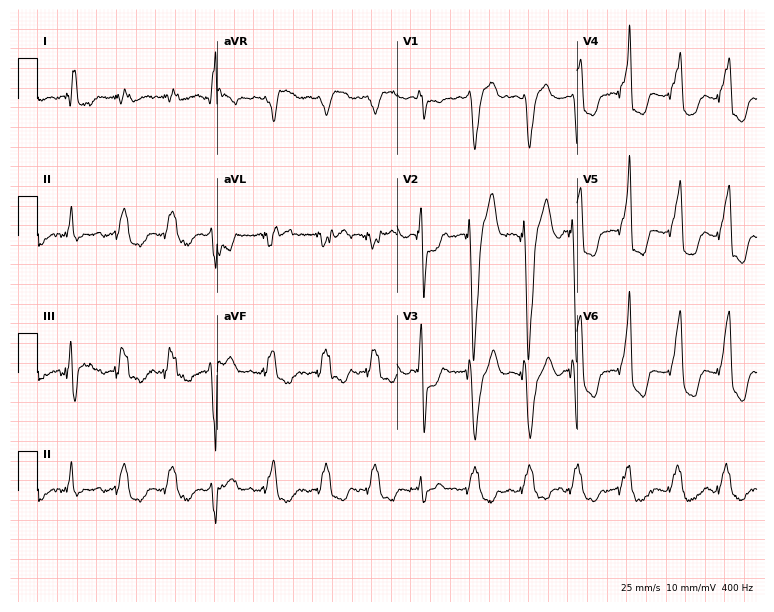
ECG — an 82-year-old male patient. Findings include left bundle branch block, atrial fibrillation.